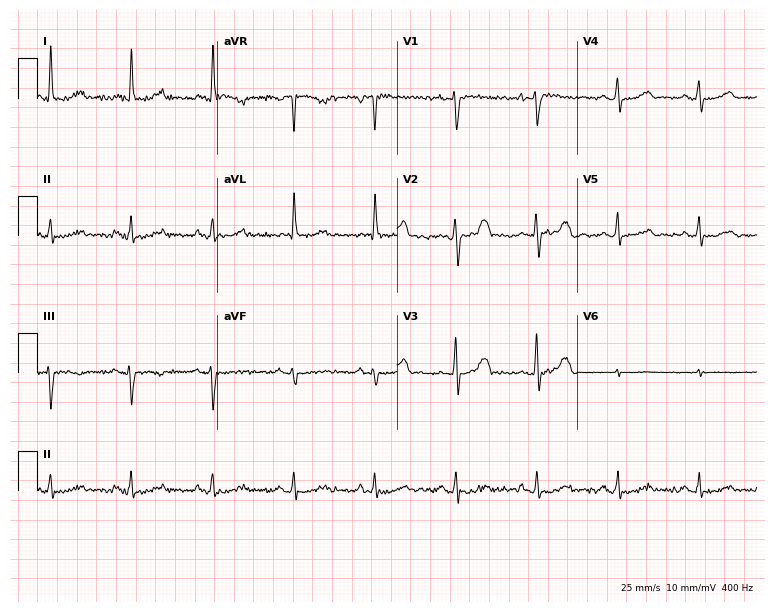
12-lead ECG from a woman, 73 years old (7.3-second recording at 400 Hz). No first-degree AV block, right bundle branch block (RBBB), left bundle branch block (LBBB), sinus bradycardia, atrial fibrillation (AF) or sinus tachycardia recorded for this tracing. Other findings, if any, are not listed.